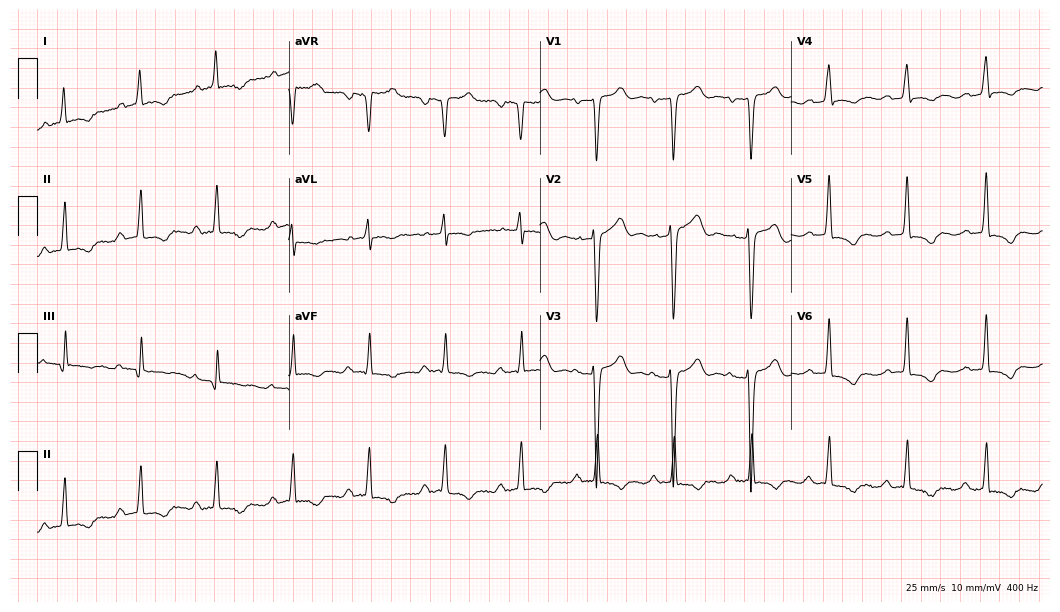
Electrocardiogram, an 83-year-old female. Interpretation includes first-degree AV block.